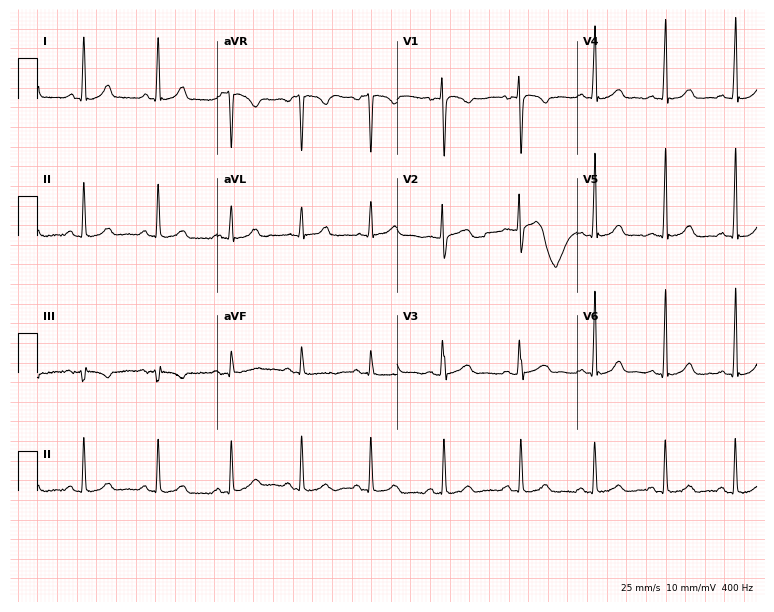
Electrocardiogram, a 34-year-old female. Overall reading on record: normal ECG.